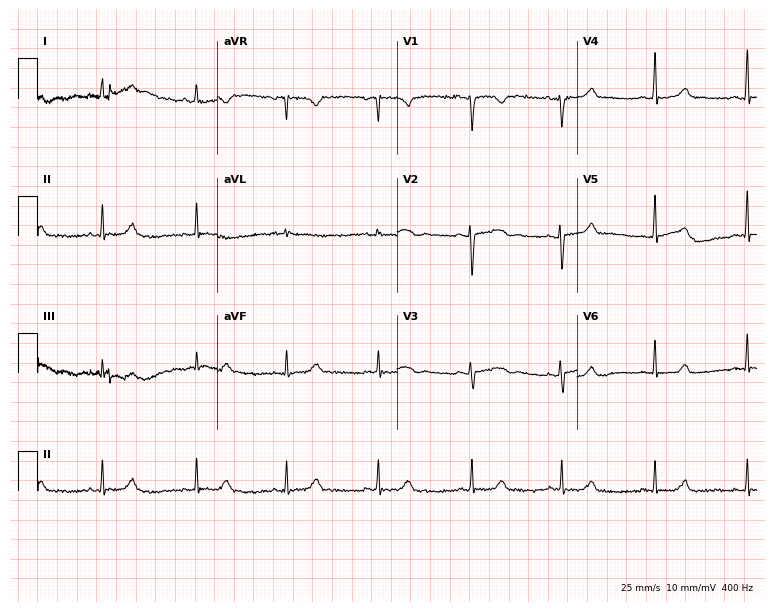
ECG — a woman, 38 years old. Screened for six findings — first-degree AV block, right bundle branch block, left bundle branch block, sinus bradycardia, atrial fibrillation, sinus tachycardia — none is recorded.